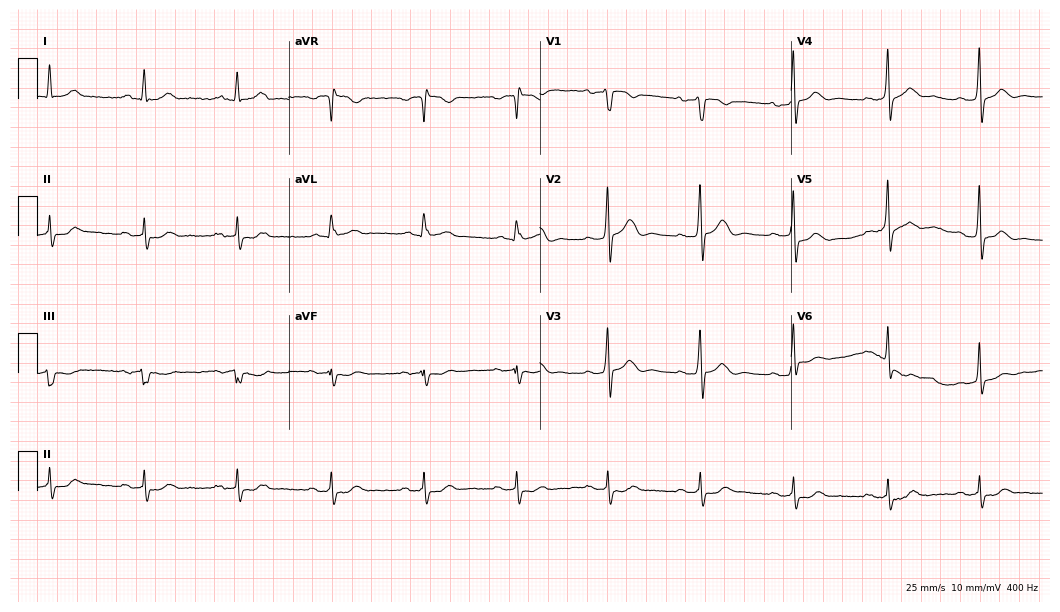
Electrocardiogram (10.2-second recording at 400 Hz), a 48-year-old male. Overall reading on record: normal ECG.